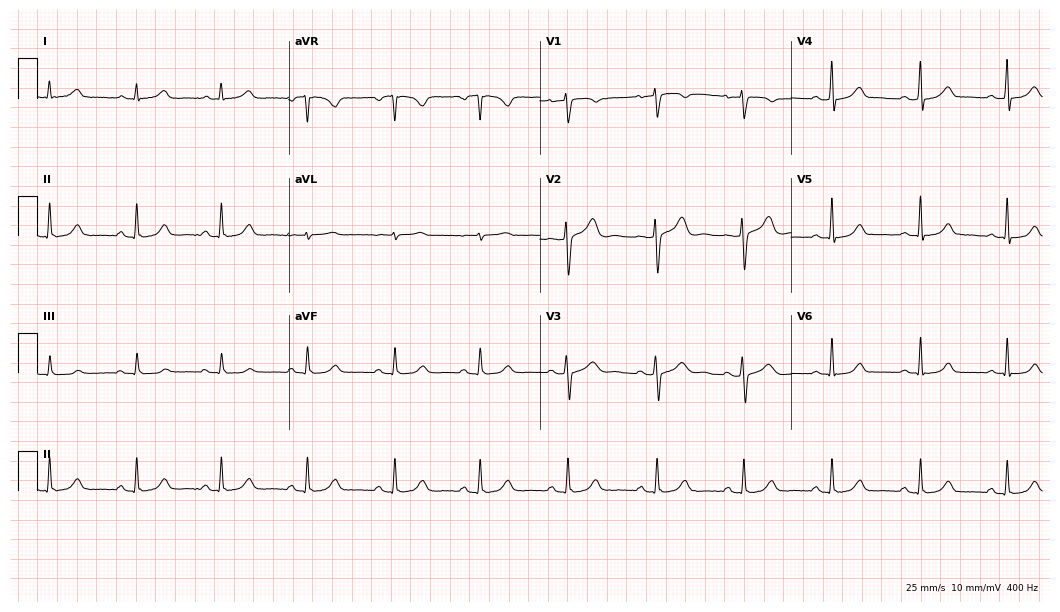
Resting 12-lead electrocardiogram (10.2-second recording at 400 Hz). Patient: a female, 41 years old. Read as a normal ECG.